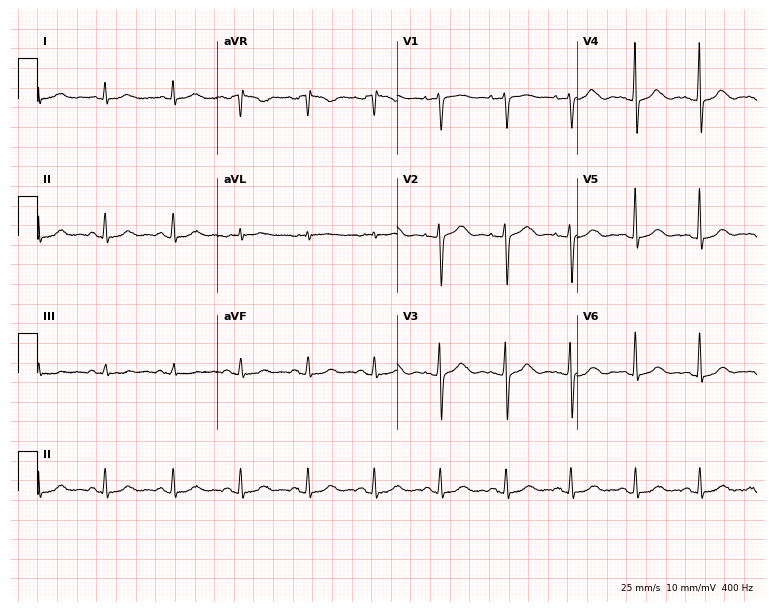
12-lead ECG from a female patient, 74 years old. Screened for six findings — first-degree AV block, right bundle branch block, left bundle branch block, sinus bradycardia, atrial fibrillation, sinus tachycardia — none is recorded.